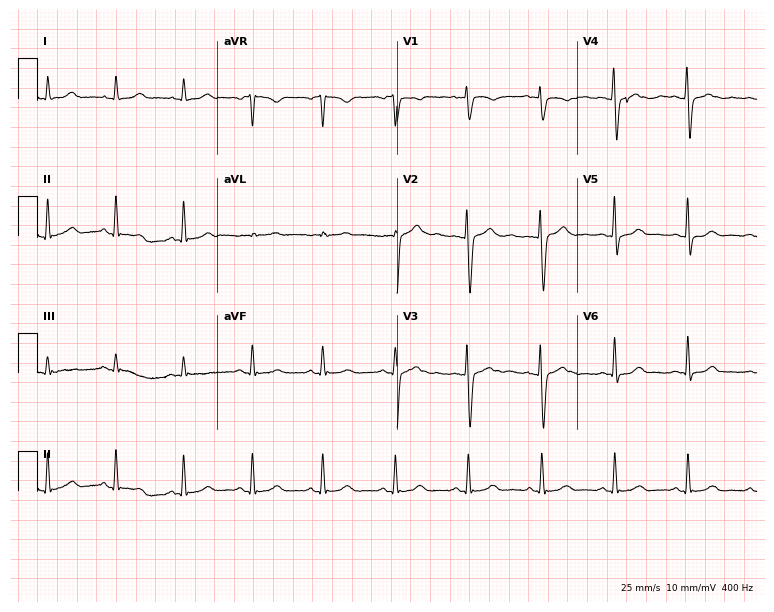
Resting 12-lead electrocardiogram (7.3-second recording at 400 Hz). Patient: a female, 28 years old. Read as a normal ECG.